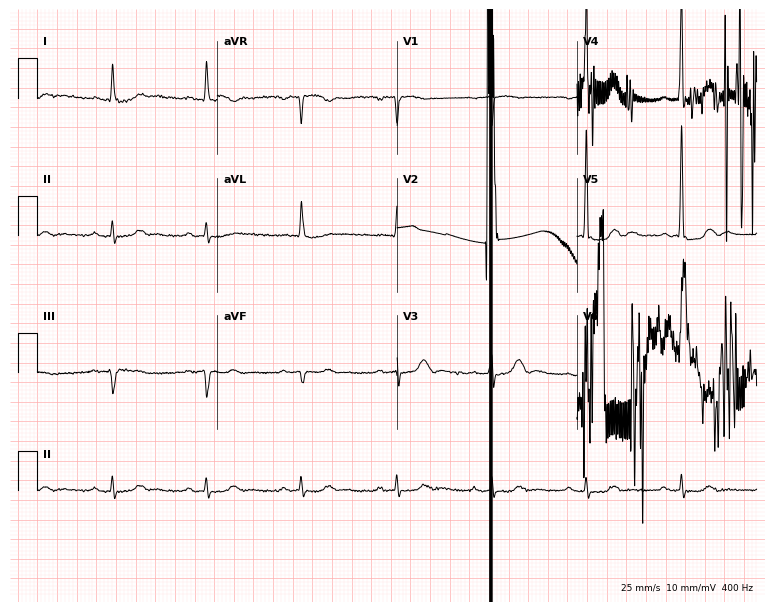
ECG — an 85-year-old male patient. Screened for six findings — first-degree AV block, right bundle branch block (RBBB), left bundle branch block (LBBB), sinus bradycardia, atrial fibrillation (AF), sinus tachycardia — none is recorded.